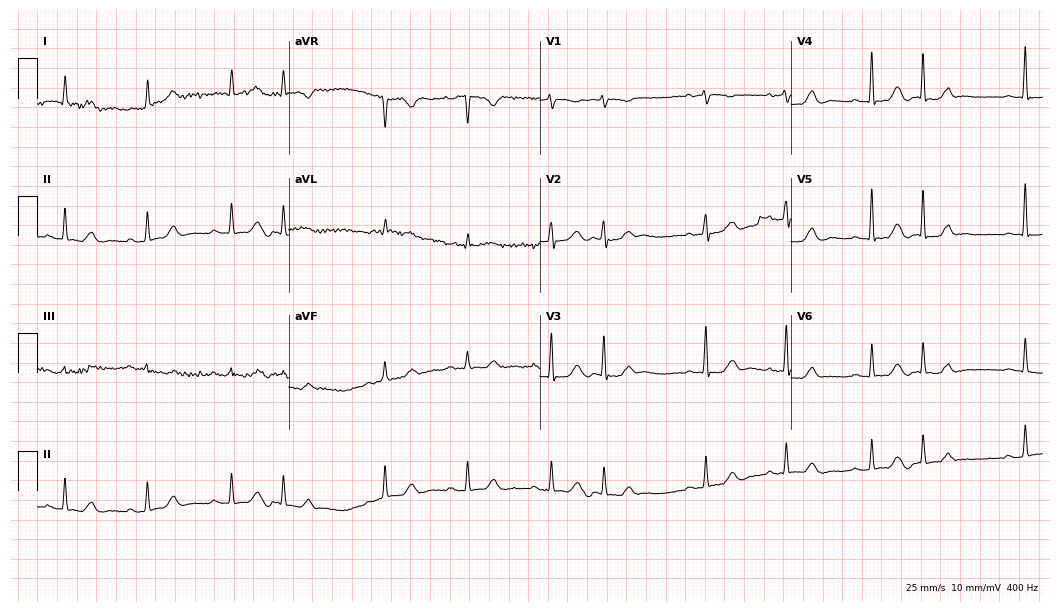
ECG — a 79-year-old female. Screened for six findings — first-degree AV block, right bundle branch block, left bundle branch block, sinus bradycardia, atrial fibrillation, sinus tachycardia — none is recorded. Only these six findings were labelled.